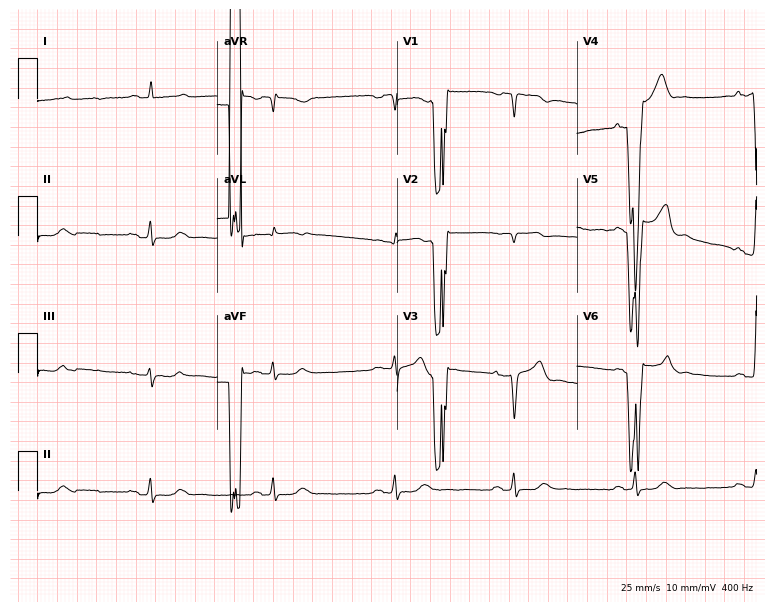
12-lead ECG (7.3-second recording at 400 Hz) from a man, 72 years old. Screened for six findings — first-degree AV block, right bundle branch block (RBBB), left bundle branch block (LBBB), sinus bradycardia, atrial fibrillation (AF), sinus tachycardia — none is recorded. Findings outside these six are not listed.